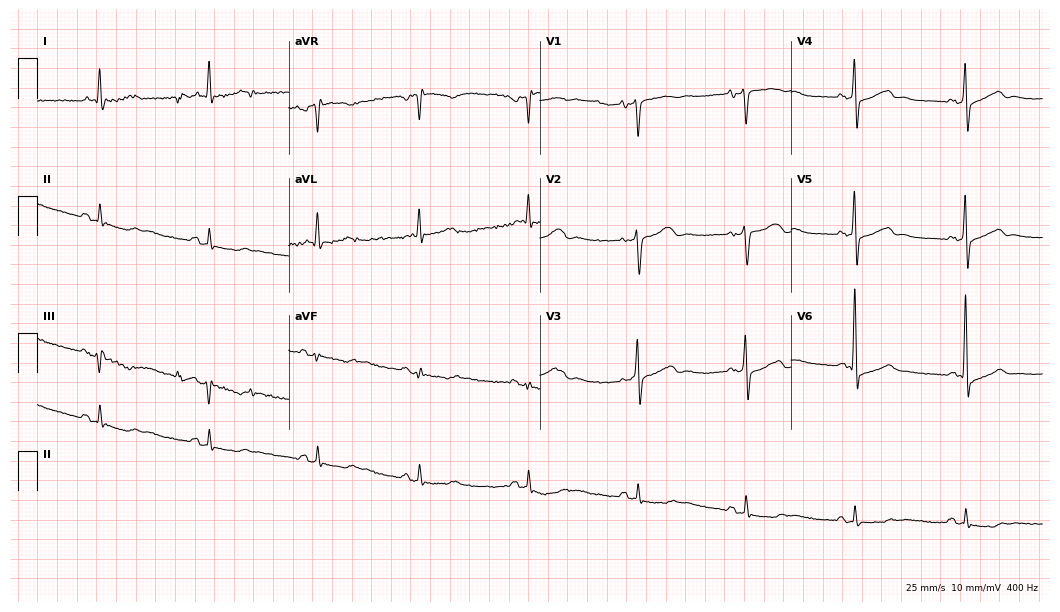
Resting 12-lead electrocardiogram. Patient: a 70-year-old male. None of these six findings is recorded: first-degree AV block, right bundle branch block (RBBB), left bundle branch block (LBBB), sinus bradycardia, atrial fibrillation (AF), sinus tachycardia.